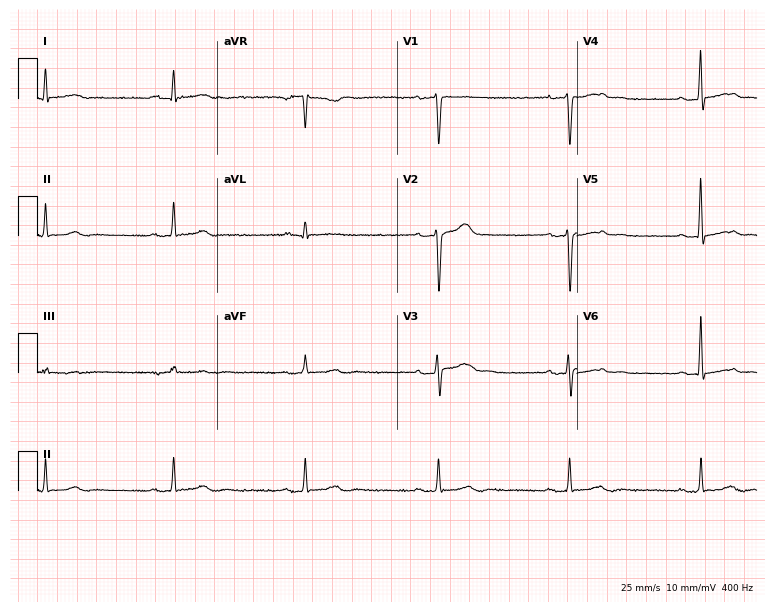
Electrocardiogram (7.3-second recording at 400 Hz), a male patient, 43 years old. Interpretation includes sinus bradycardia (a sinus rate of 50 beats per minute or less).